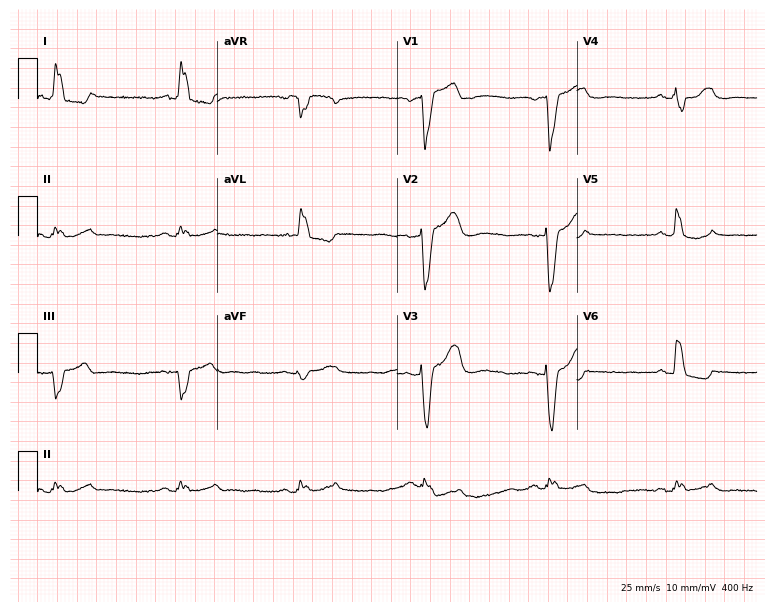
ECG (7.3-second recording at 400 Hz) — a 72-year-old female patient. Findings include left bundle branch block (LBBB), sinus bradycardia (a sinus rate of 50 beats per minute or less).